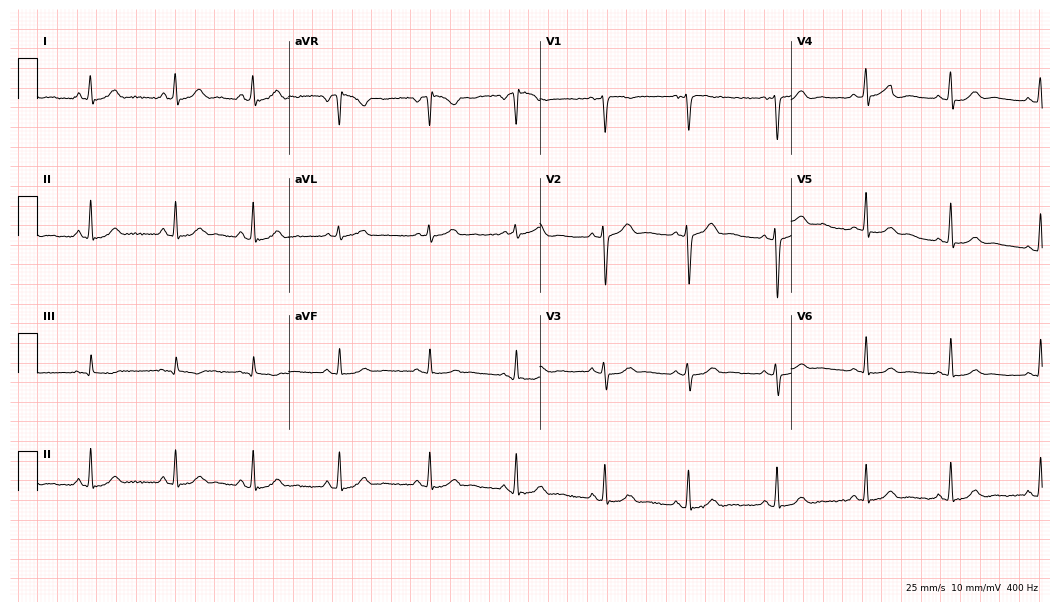
12-lead ECG from a 47-year-old female patient. Labelled as a normal ECG.